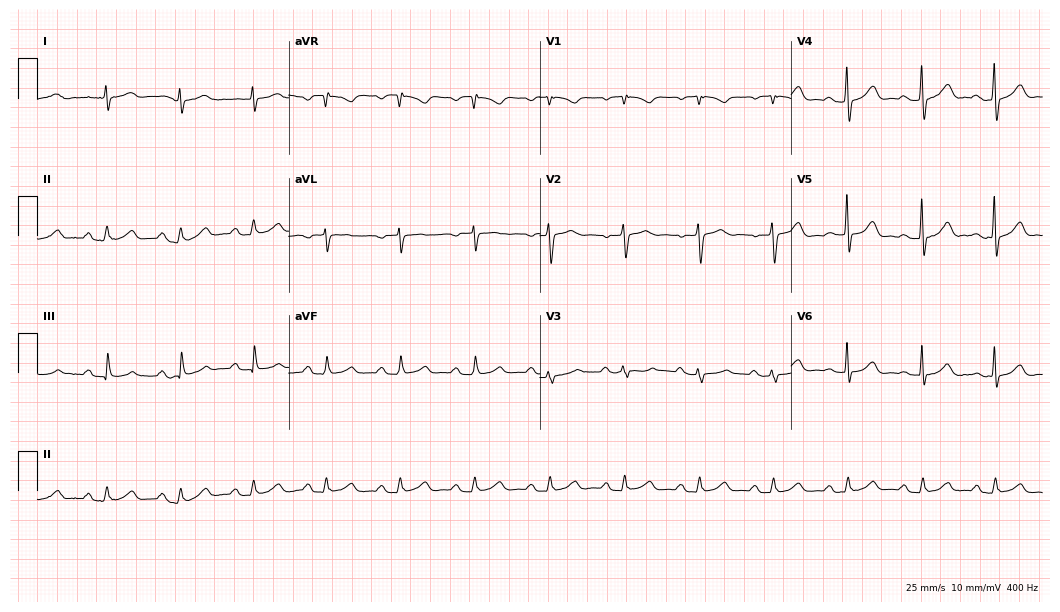
Electrocardiogram, a 75-year-old male patient. Overall reading on record: normal ECG.